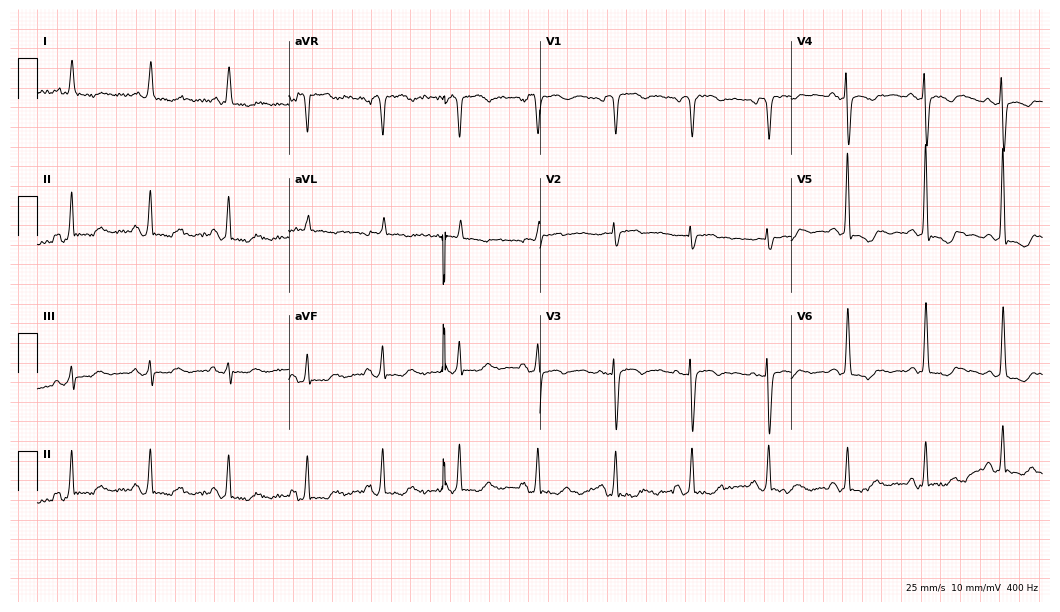
12-lead ECG from a female, 58 years old (10.2-second recording at 400 Hz). No first-degree AV block, right bundle branch block (RBBB), left bundle branch block (LBBB), sinus bradycardia, atrial fibrillation (AF) or sinus tachycardia recorded for this tracing.